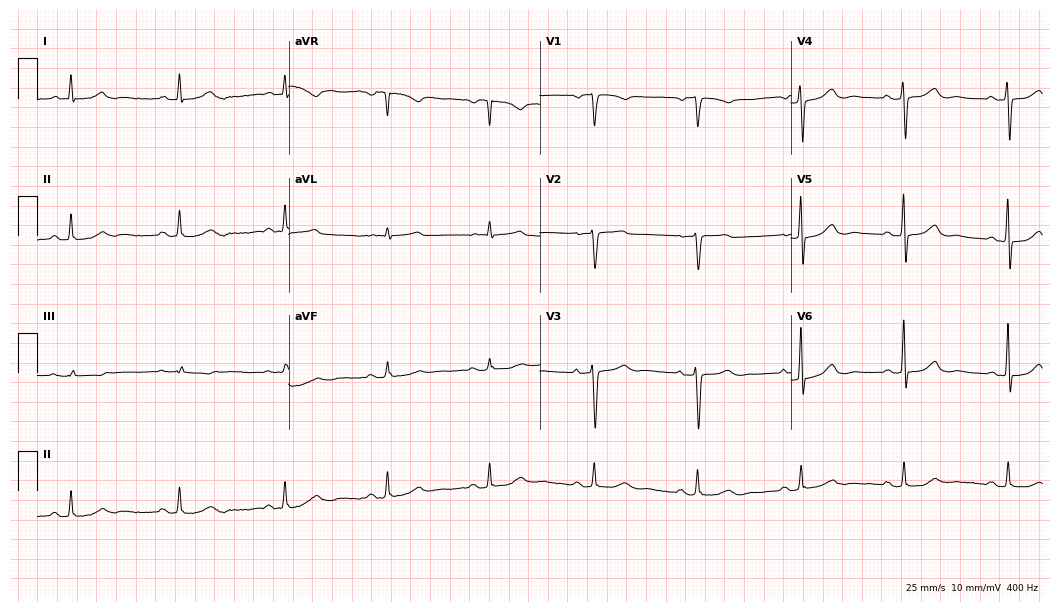
12-lead ECG from a 76-year-old man. Recorded interpretation: within normal limits.